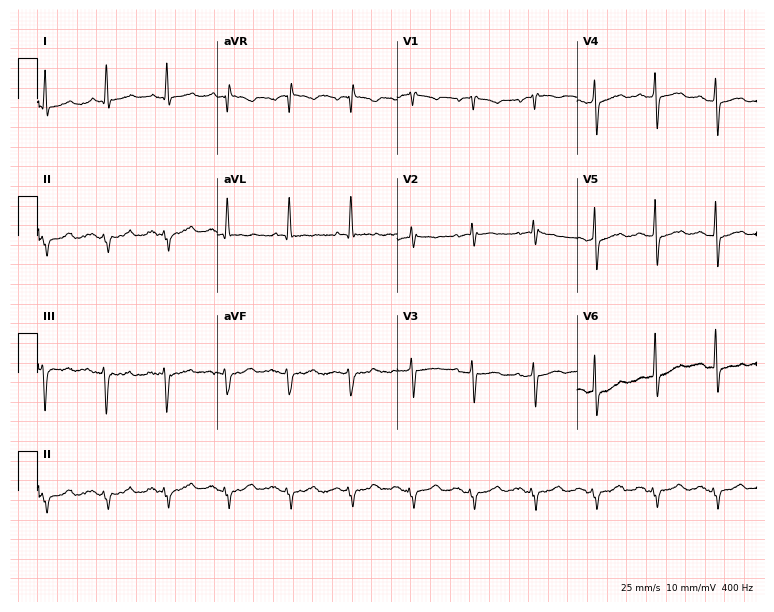
Standard 12-lead ECG recorded from a male patient, 76 years old (7.3-second recording at 400 Hz). Read as a normal ECG.